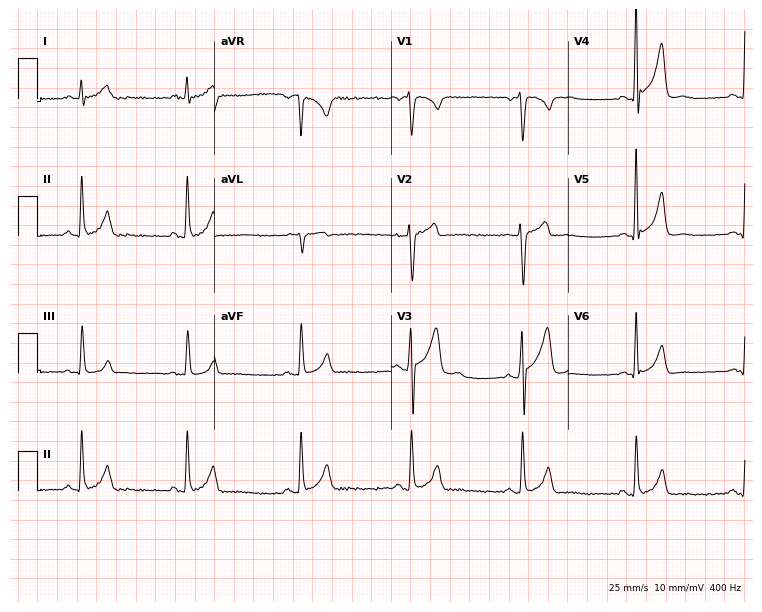
ECG — a 35-year-old man. Screened for six findings — first-degree AV block, right bundle branch block (RBBB), left bundle branch block (LBBB), sinus bradycardia, atrial fibrillation (AF), sinus tachycardia — none is recorded.